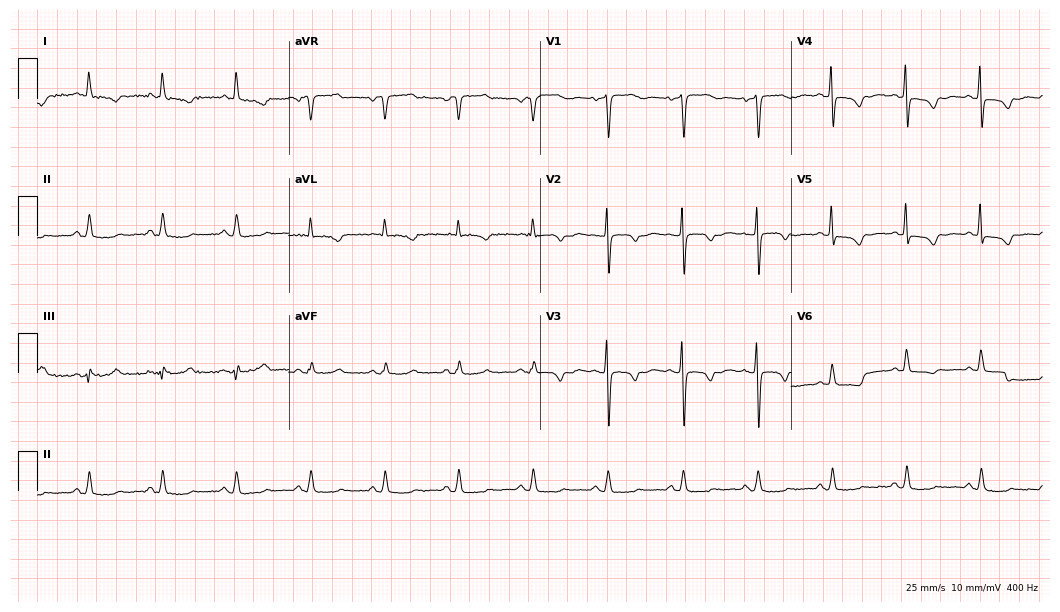
Standard 12-lead ECG recorded from a woman, 66 years old. None of these six findings is recorded: first-degree AV block, right bundle branch block, left bundle branch block, sinus bradycardia, atrial fibrillation, sinus tachycardia. Other findings, if any, are not listed.